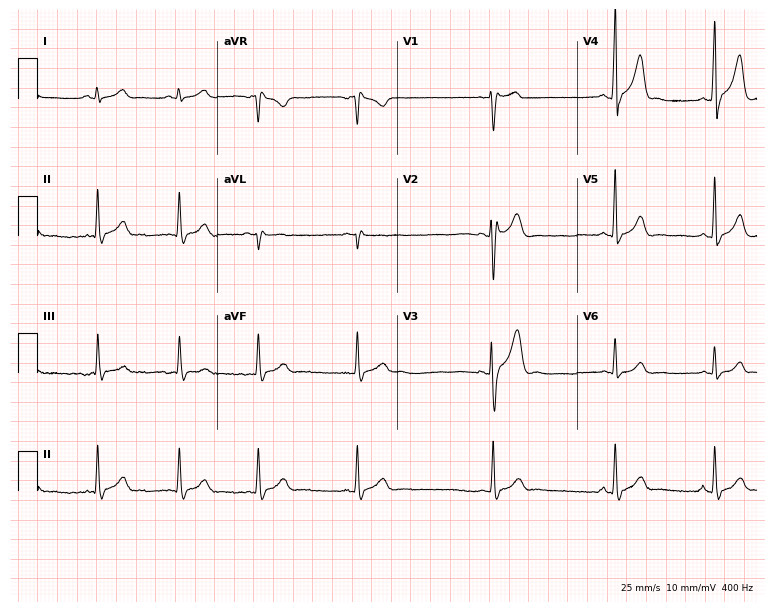
Resting 12-lead electrocardiogram (7.3-second recording at 400 Hz). Patient: a 25-year-old male. None of these six findings is recorded: first-degree AV block, right bundle branch block, left bundle branch block, sinus bradycardia, atrial fibrillation, sinus tachycardia. Other findings, if any, are not listed.